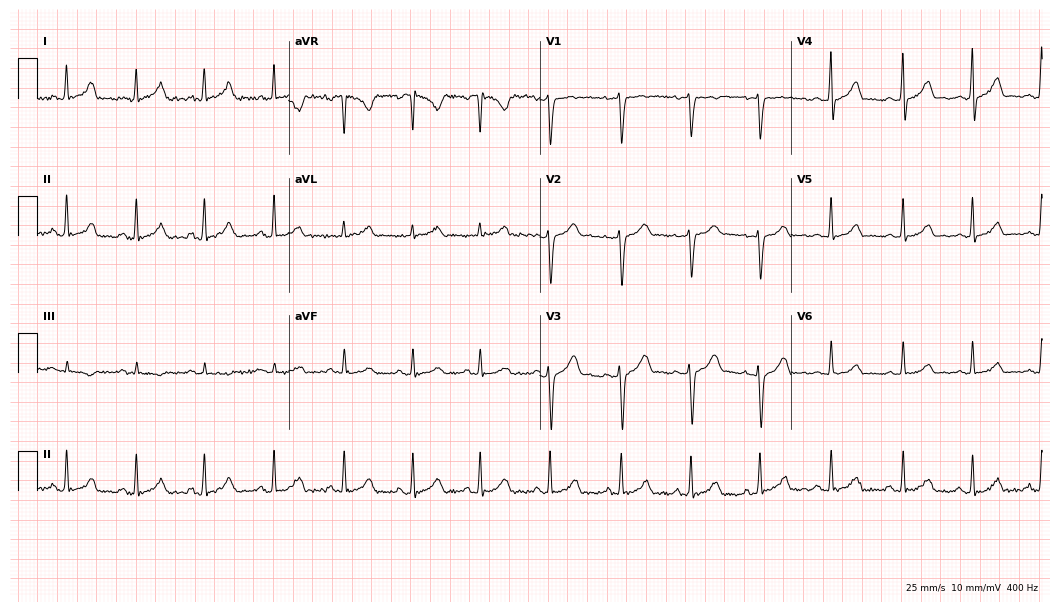
Standard 12-lead ECG recorded from a 41-year-old woman. Read as a normal ECG.